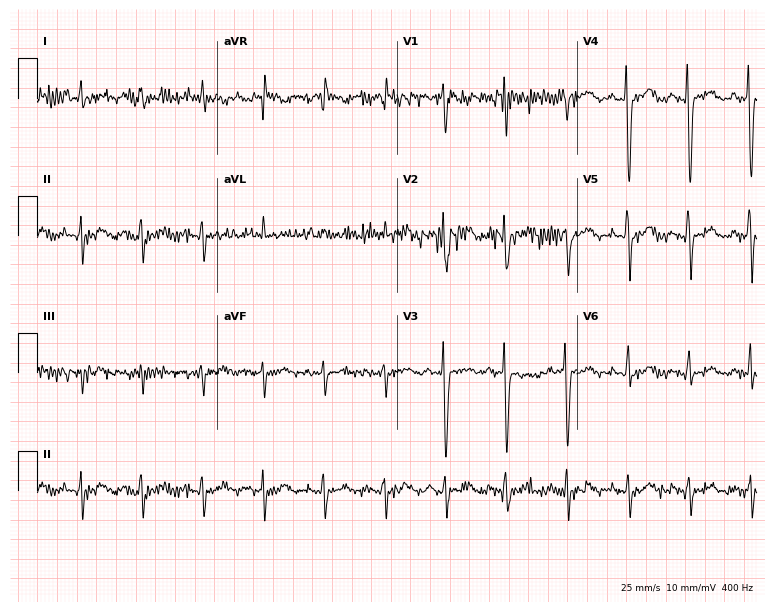
Standard 12-lead ECG recorded from a female, 56 years old. None of these six findings is recorded: first-degree AV block, right bundle branch block, left bundle branch block, sinus bradycardia, atrial fibrillation, sinus tachycardia.